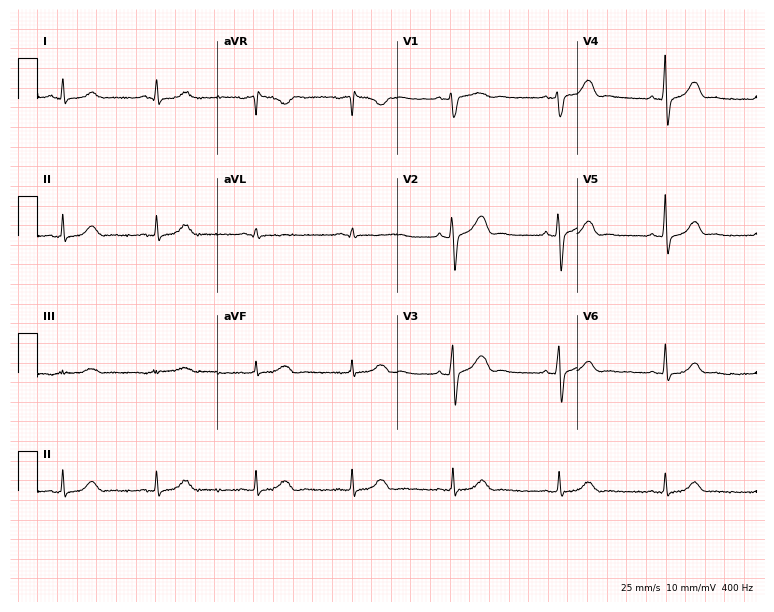
Standard 12-lead ECG recorded from a male patient, 45 years old (7.3-second recording at 400 Hz). Read as a normal ECG.